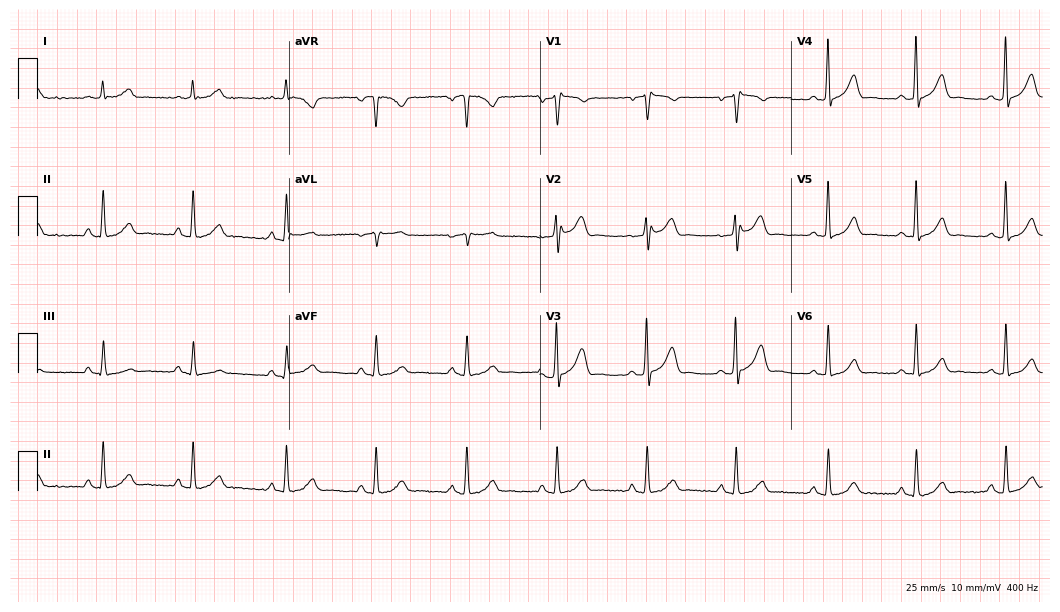
Electrocardiogram, a male patient, 61 years old. Of the six screened findings (first-degree AV block, right bundle branch block, left bundle branch block, sinus bradycardia, atrial fibrillation, sinus tachycardia), none is recorded.